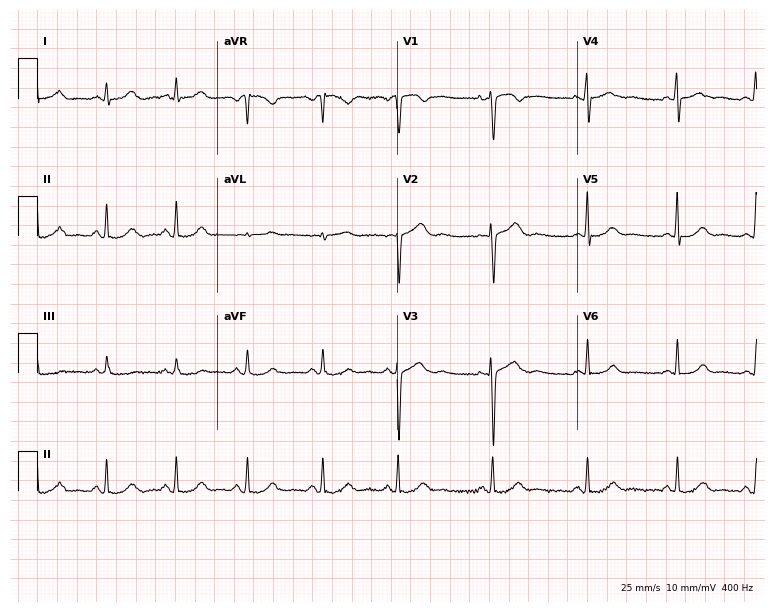
12-lead ECG (7.3-second recording at 400 Hz) from a 20-year-old woman. Labelled as a normal ECG.